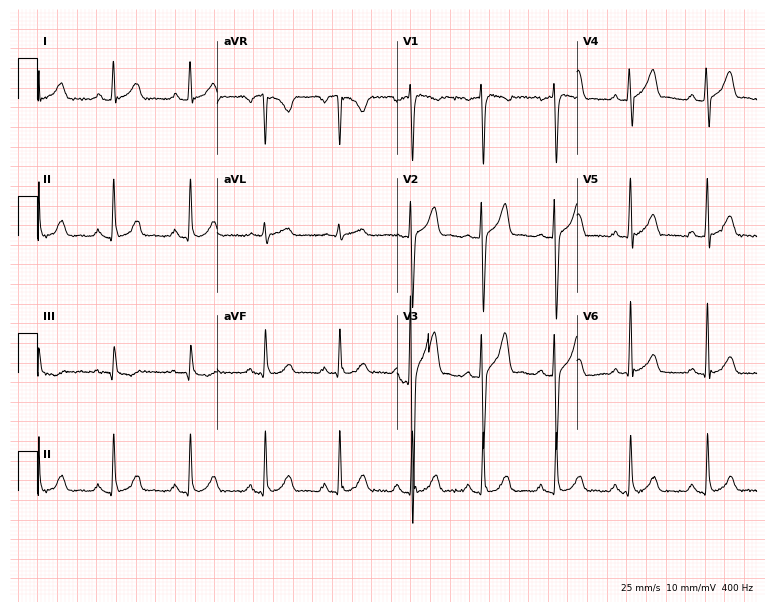
Electrocardiogram, a male patient, 26 years old. Overall reading on record: normal ECG.